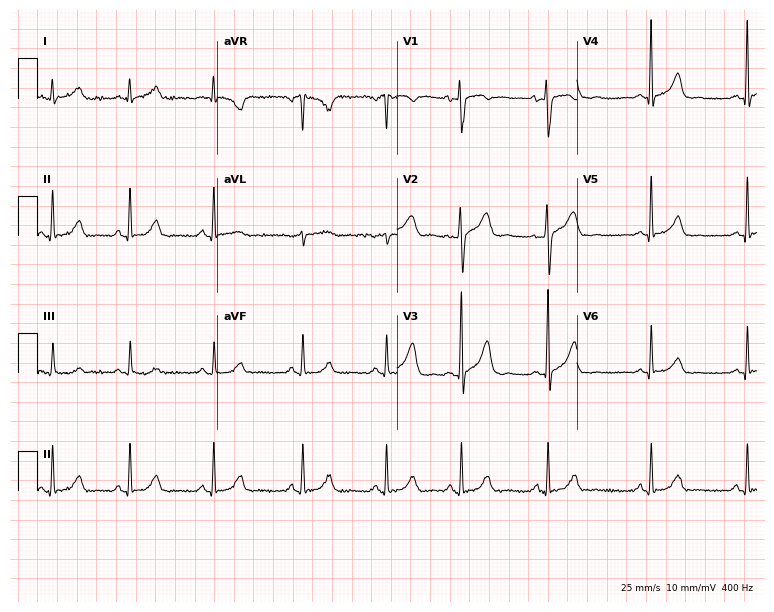
12-lead ECG from a woman, 32 years old. No first-degree AV block, right bundle branch block (RBBB), left bundle branch block (LBBB), sinus bradycardia, atrial fibrillation (AF) or sinus tachycardia recorded for this tracing.